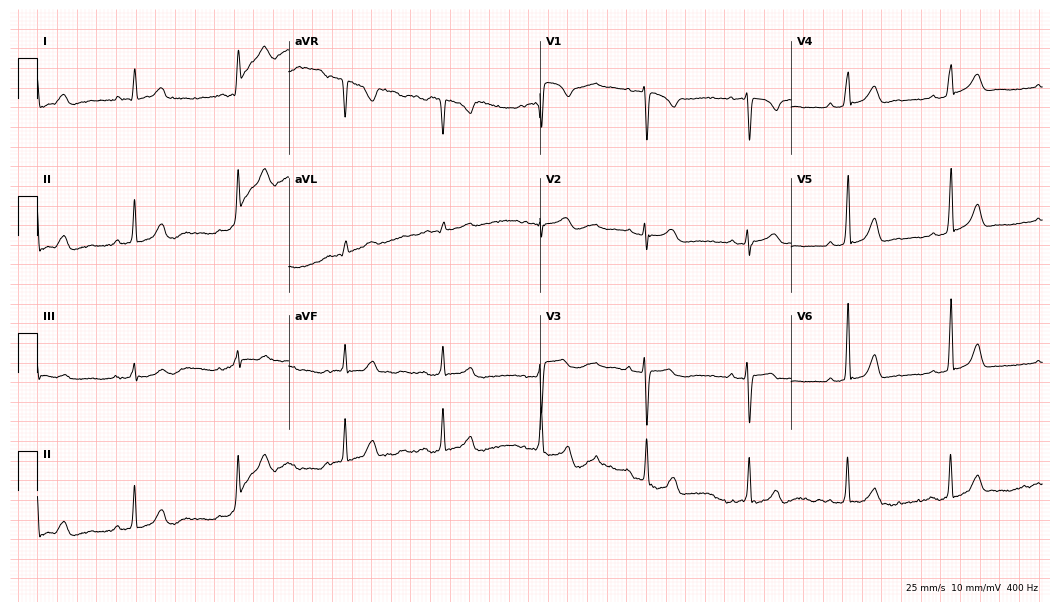
Electrocardiogram, a 24-year-old female patient. Of the six screened findings (first-degree AV block, right bundle branch block (RBBB), left bundle branch block (LBBB), sinus bradycardia, atrial fibrillation (AF), sinus tachycardia), none is recorded.